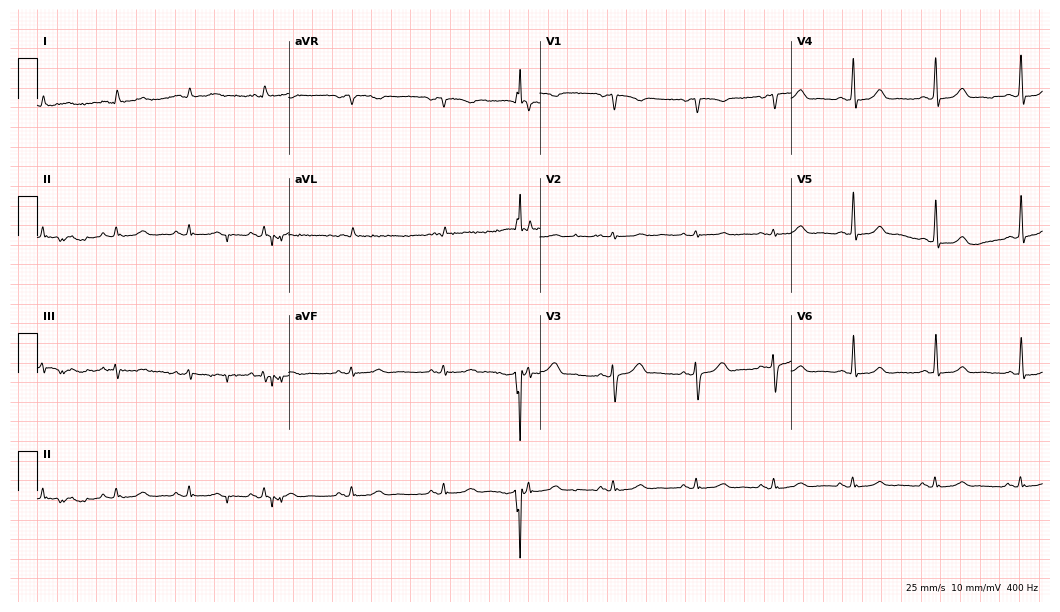
ECG — a 32-year-old woman. Labelled as a normal ECG.